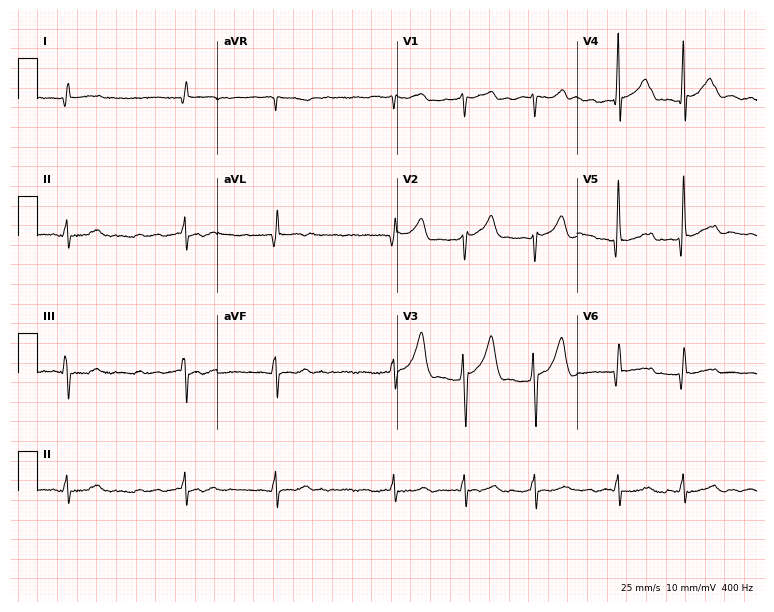
12-lead ECG from a male, 83 years old. Shows atrial fibrillation.